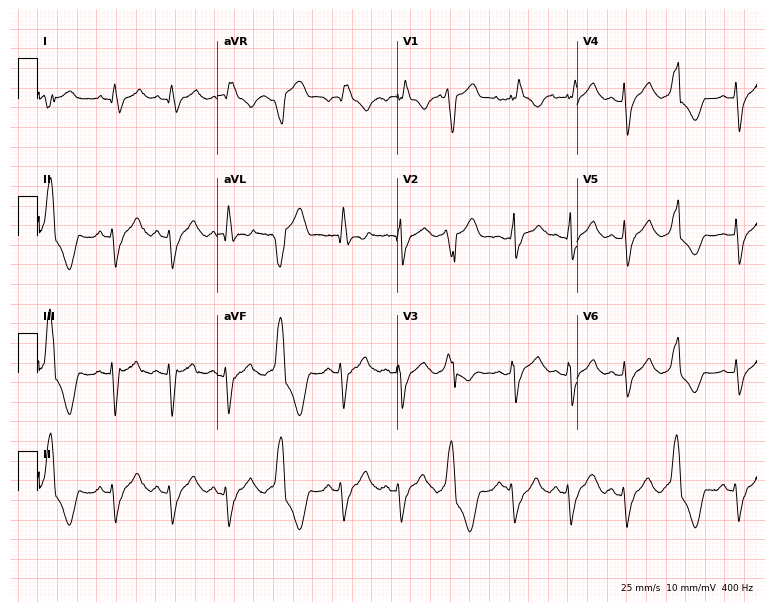
Standard 12-lead ECG recorded from a 32-year-old female. The tracing shows right bundle branch block.